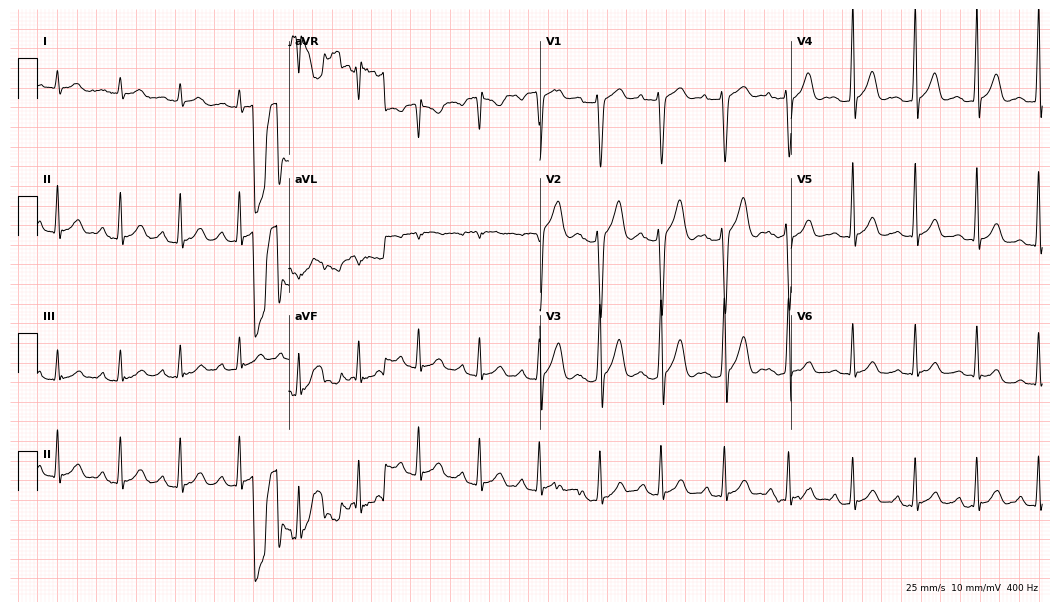
12-lead ECG from a male, 41 years old. Screened for six findings — first-degree AV block, right bundle branch block, left bundle branch block, sinus bradycardia, atrial fibrillation, sinus tachycardia — none is recorded.